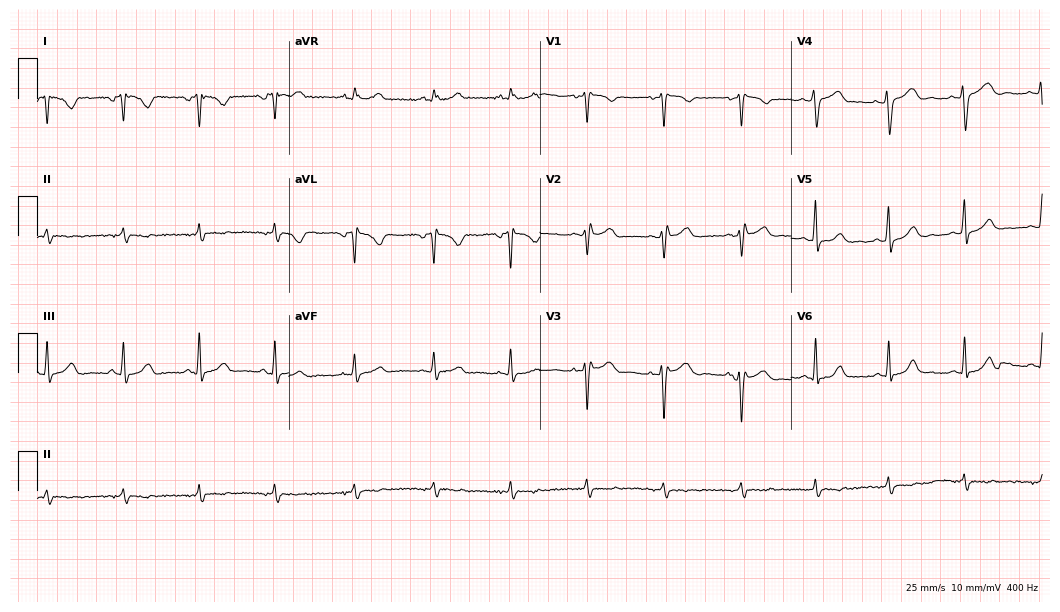
12-lead ECG (10.2-second recording at 400 Hz) from a female, 37 years old. Screened for six findings — first-degree AV block, right bundle branch block, left bundle branch block, sinus bradycardia, atrial fibrillation, sinus tachycardia — none is recorded.